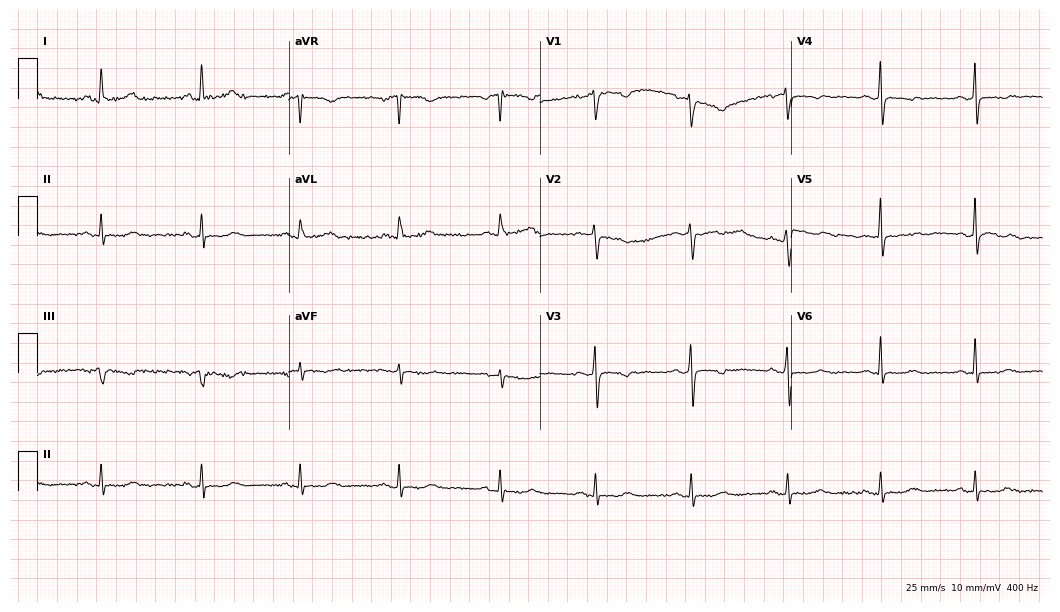
ECG — a 57-year-old female patient. Labelled as a normal ECG.